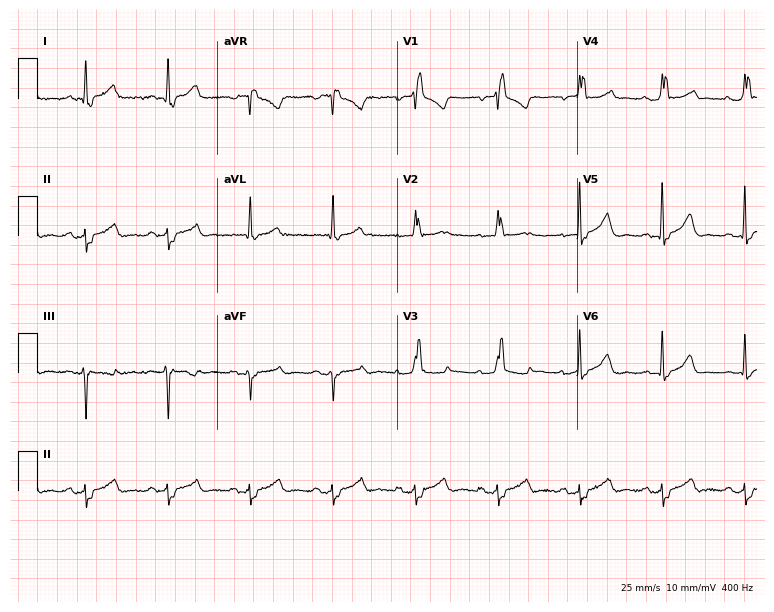
Resting 12-lead electrocardiogram (7.3-second recording at 400 Hz). Patient: a 62-year-old female. The tracing shows right bundle branch block.